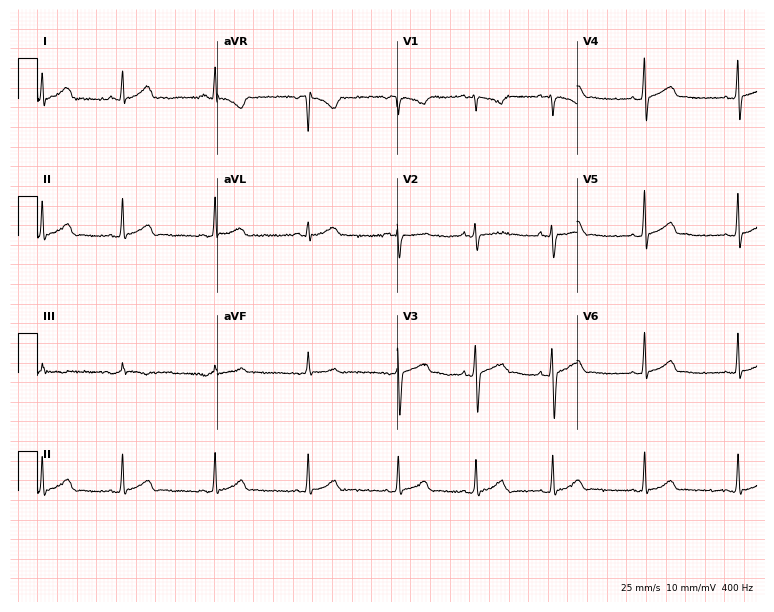
Electrocardiogram, a female patient, 17 years old. Overall reading on record: normal ECG.